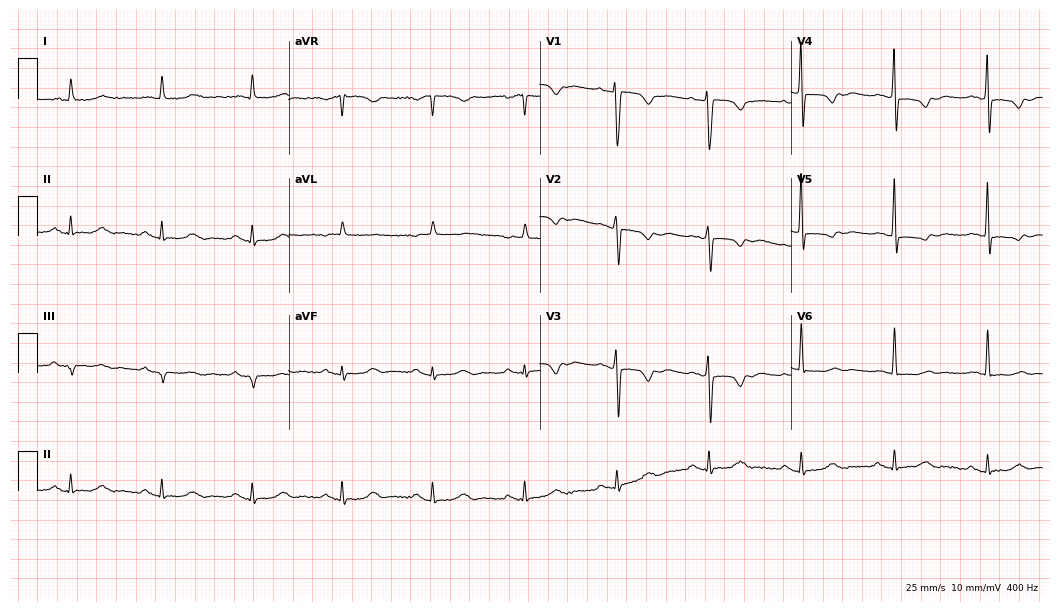
Standard 12-lead ECG recorded from a female patient, 78 years old. None of these six findings is recorded: first-degree AV block, right bundle branch block (RBBB), left bundle branch block (LBBB), sinus bradycardia, atrial fibrillation (AF), sinus tachycardia. Findings outside these six are not listed.